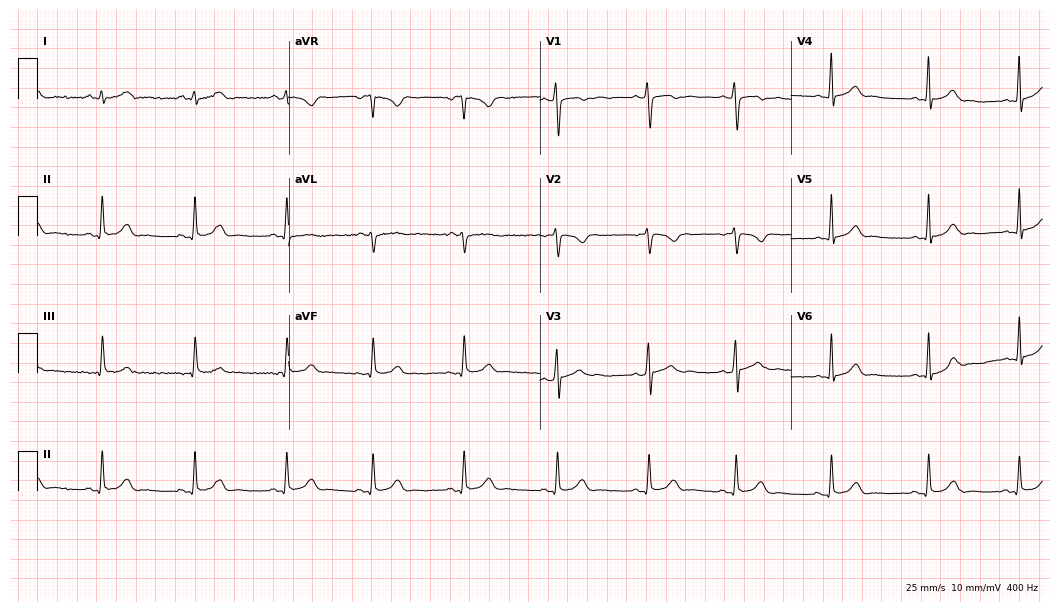
Standard 12-lead ECG recorded from a female patient, 20 years old. Read as a normal ECG.